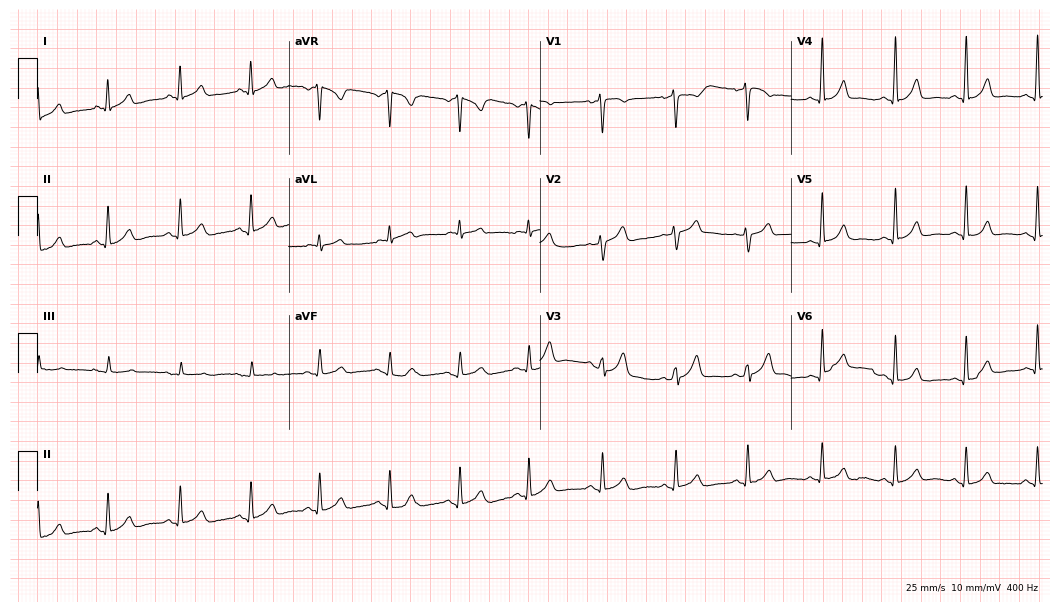
Standard 12-lead ECG recorded from a 35-year-old female patient (10.2-second recording at 400 Hz). Read as a normal ECG.